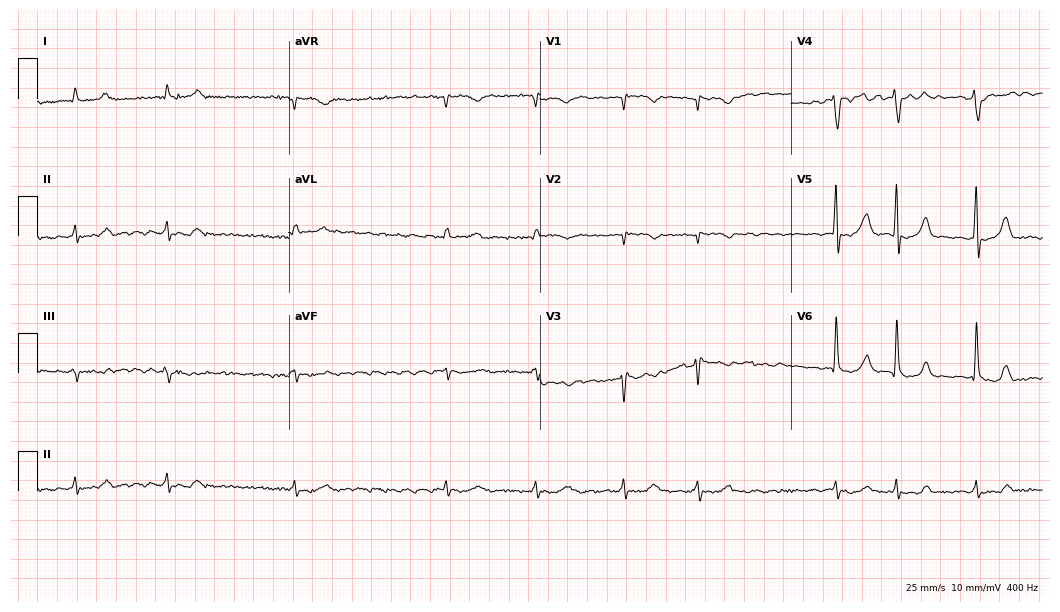
Resting 12-lead electrocardiogram. Patient: a 71-year-old male. The tracing shows atrial fibrillation.